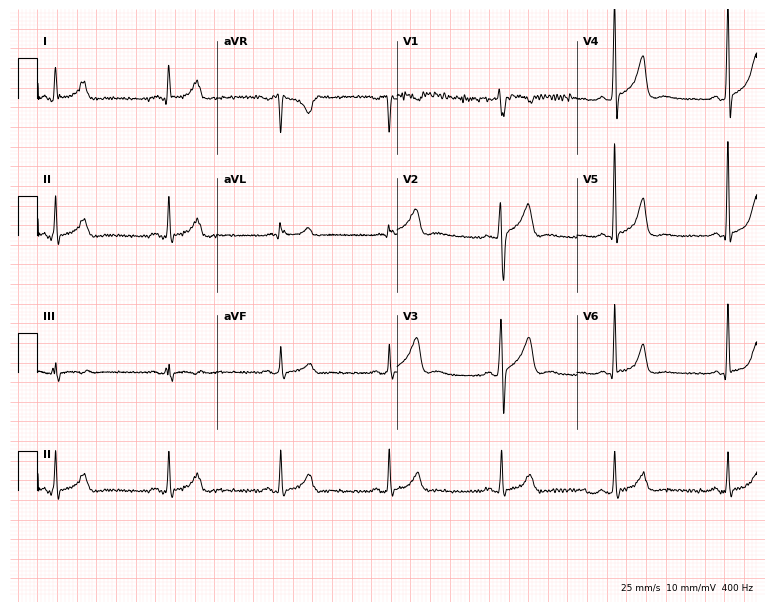
Resting 12-lead electrocardiogram (7.3-second recording at 400 Hz). Patient: a 52-year-old male. Read as a normal ECG.